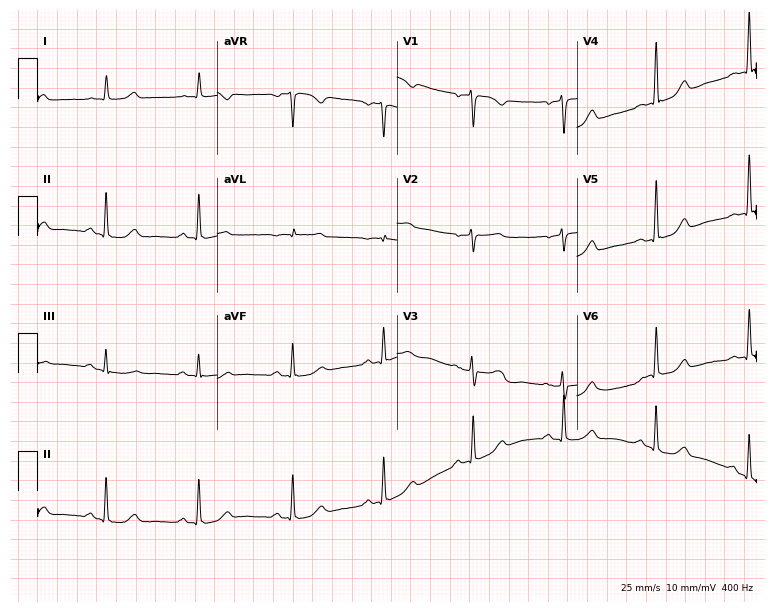
Standard 12-lead ECG recorded from a 57-year-old female. None of these six findings is recorded: first-degree AV block, right bundle branch block (RBBB), left bundle branch block (LBBB), sinus bradycardia, atrial fibrillation (AF), sinus tachycardia. Other findings, if any, are not listed.